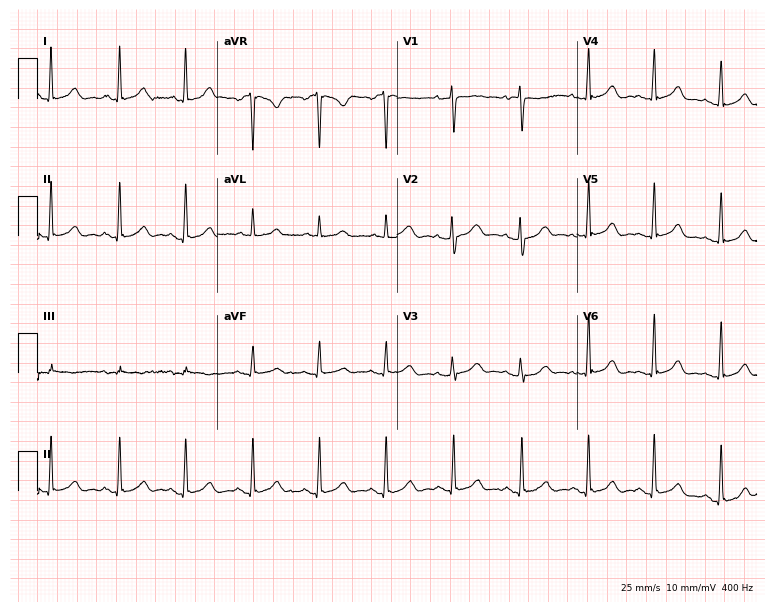
ECG — a 41-year-old female. Labelled as a normal ECG.